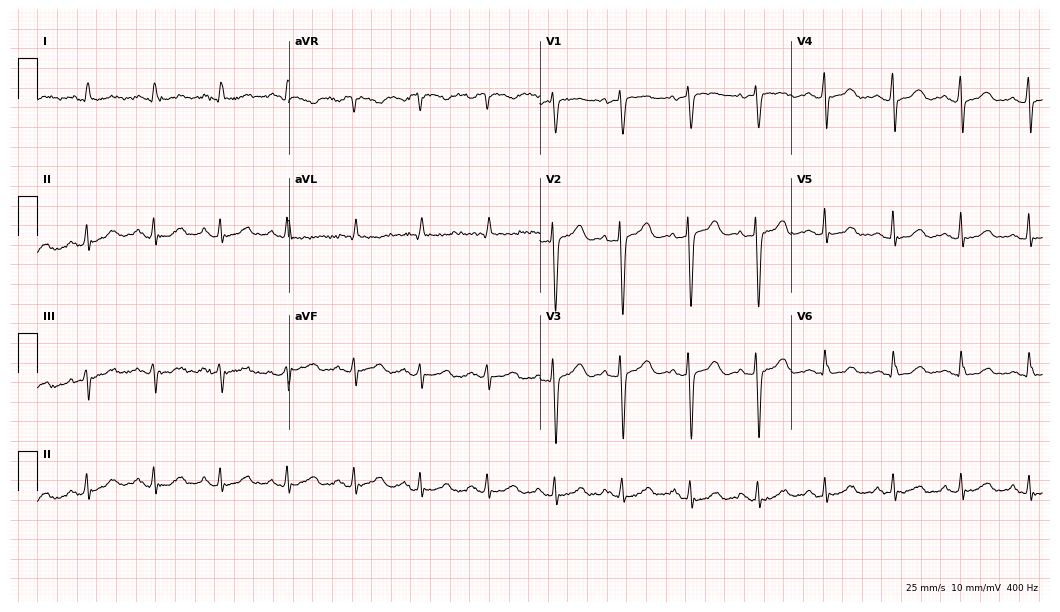
ECG (10.2-second recording at 400 Hz) — a 40-year-old female patient. Screened for six findings — first-degree AV block, right bundle branch block (RBBB), left bundle branch block (LBBB), sinus bradycardia, atrial fibrillation (AF), sinus tachycardia — none is recorded.